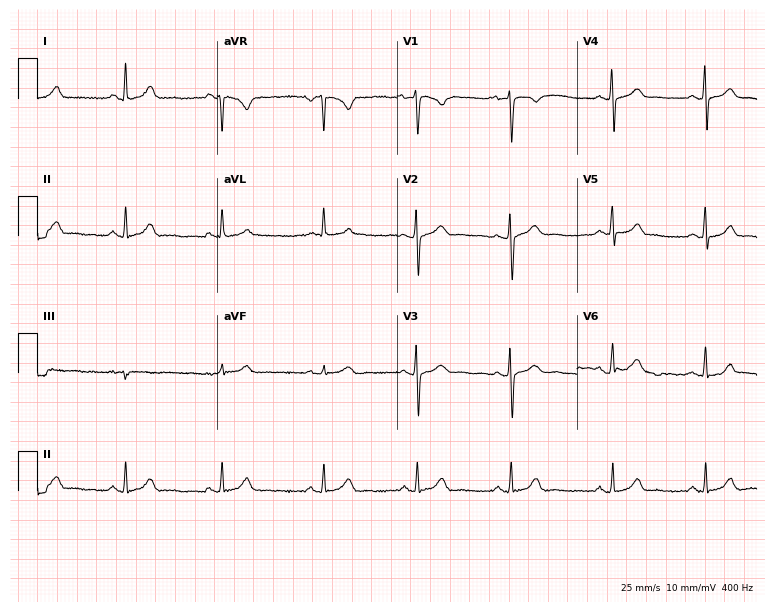
Standard 12-lead ECG recorded from a 30-year-old female (7.3-second recording at 400 Hz). Read as a normal ECG.